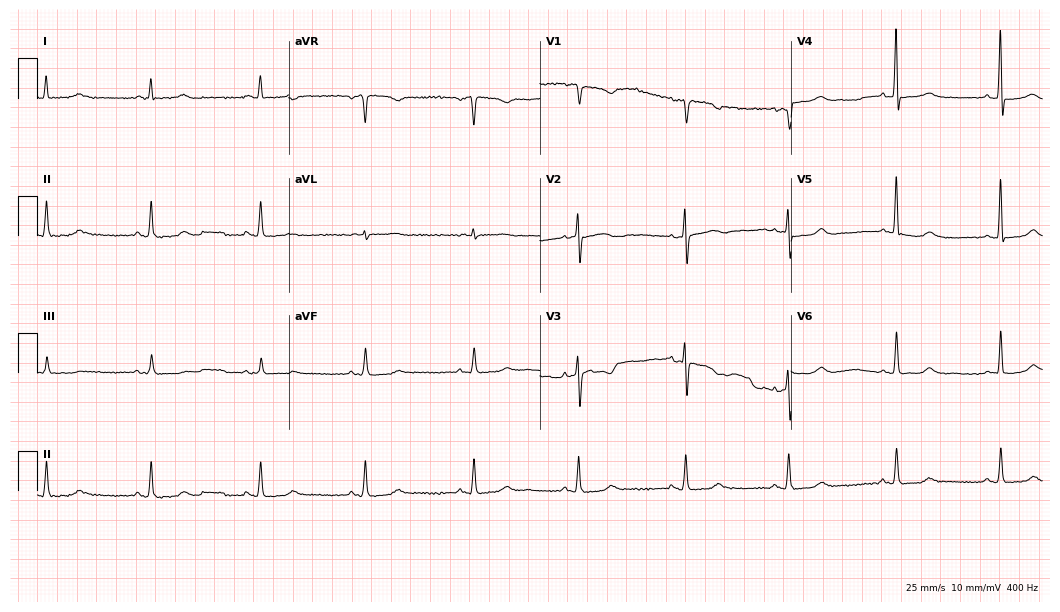
Standard 12-lead ECG recorded from a female, 82 years old (10.2-second recording at 400 Hz). Read as a normal ECG.